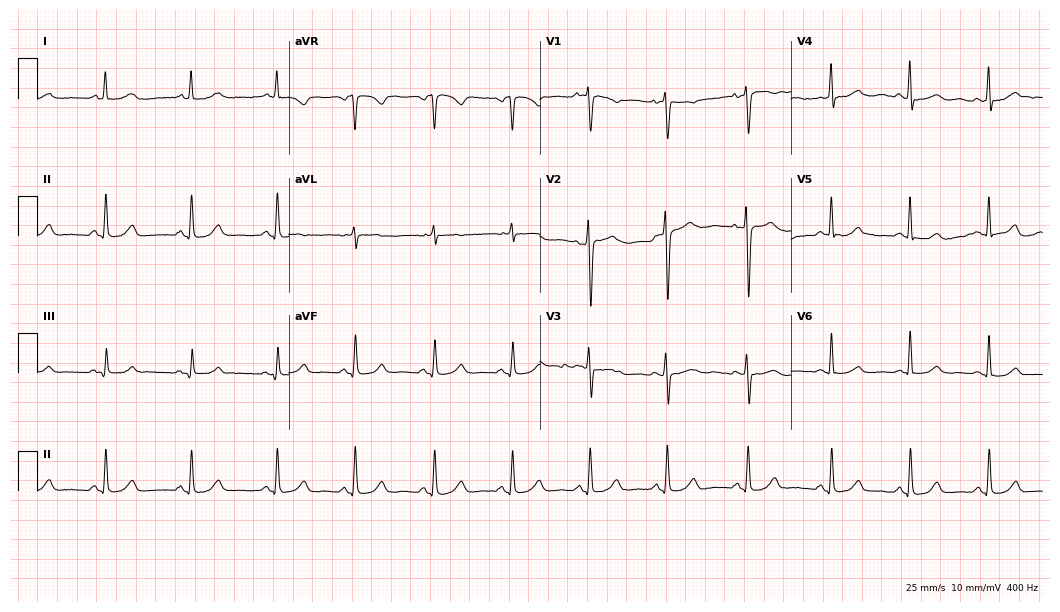
Electrocardiogram (10.2-second recording at 400 Hz), a woman, 44 years old. Overall reading on record: normal ECG.